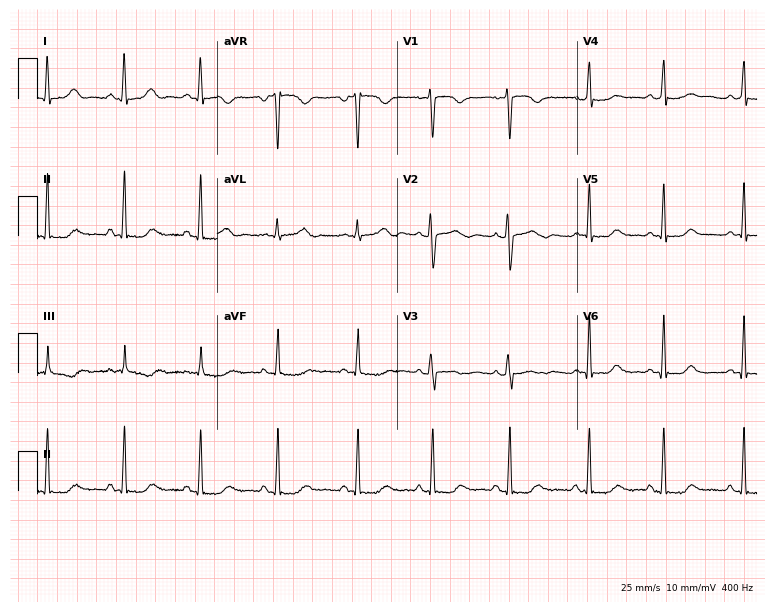
Standard 12-lead ECG recorded from an 18-year-old female patient. None of these six findings is recorded: first-degree AV block, right bundle branch block, left bundle branch block, sinus bradycardia, atrial fibrillation, sinus tachycardia.